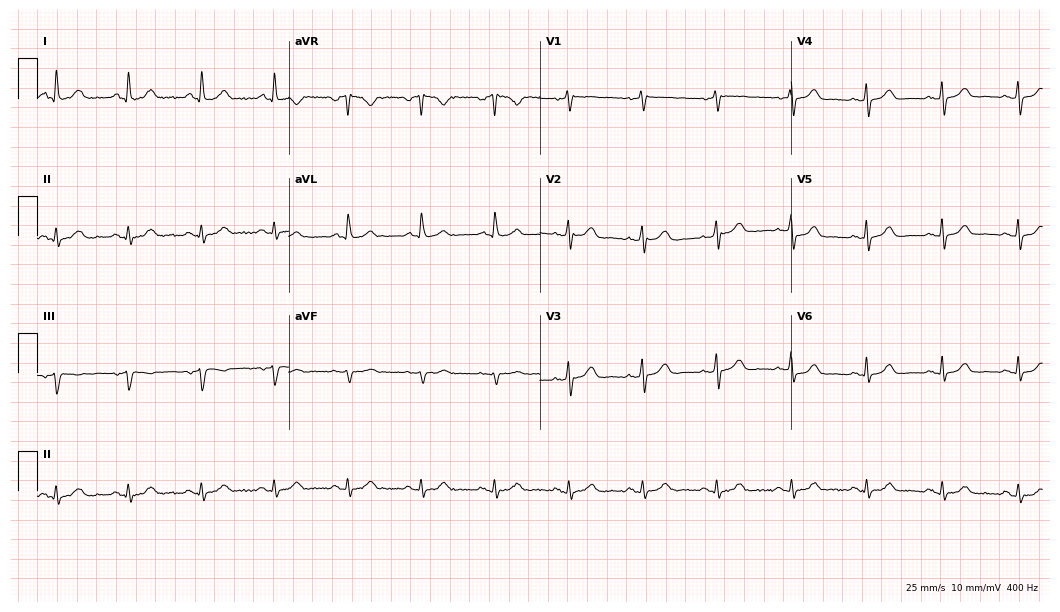
Standard 12-lead ECG recorded from a woman, 59 years old. Read as a normal ECG.